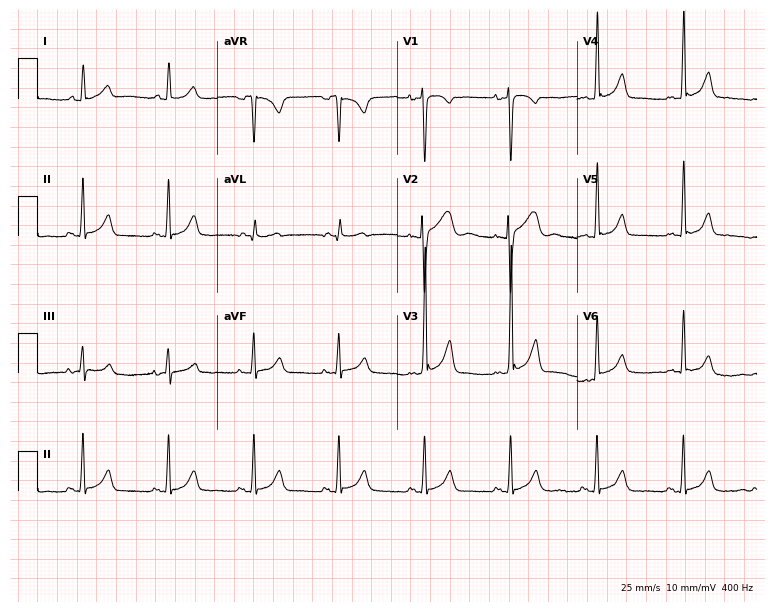
Electrocardiogram (7.3-second recording at 400 Hz), a 31-year-old female. Overall reading on record: normal ECG.